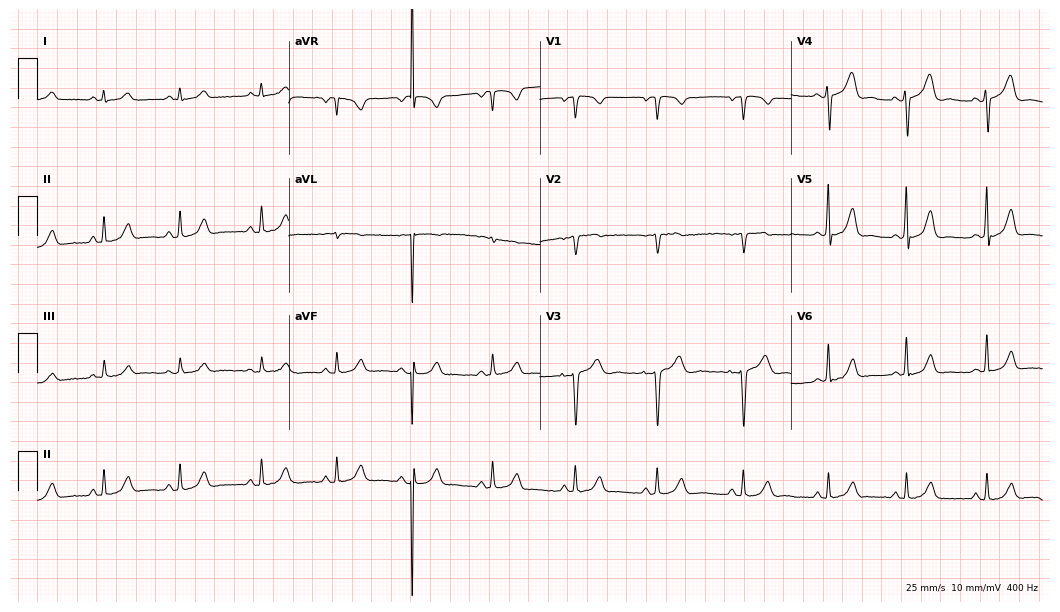
12-lead ECG (10.2-second recording at 400 Hz) from a female, 37 years old. Screened for six findings — first-degree AV block, right bundle branch block, left bundle branch block, sinus bradycardia, atrial fibrillation, sinus tachycardia — none is recorded.